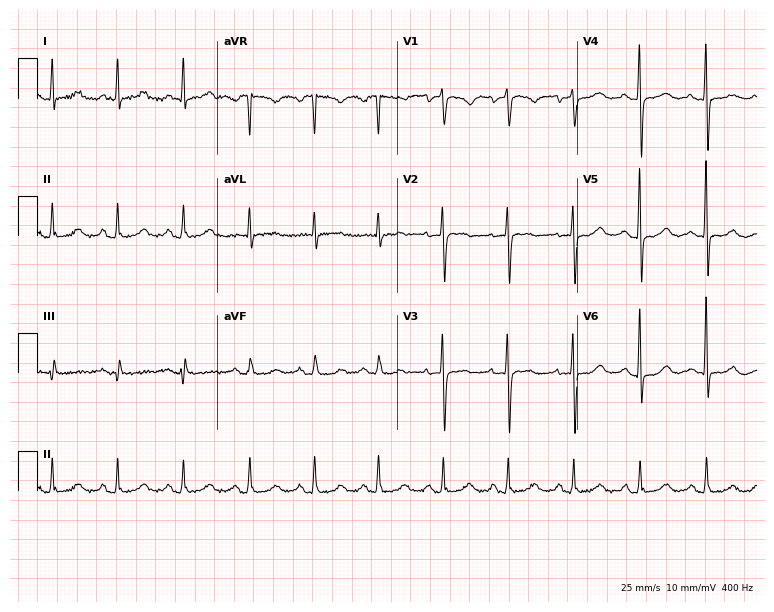
ECG (7.3-second recording at 400 Hz) — a 64-year-old woman. Screened for six findings — first-degree AV block, right bundle branch block (RBBB), left bundle branch block (LBBB), sinus bradycardia, atrial fibrillation (AF), sinus tachycardia — none is recorded. Only these six findings were labelled.